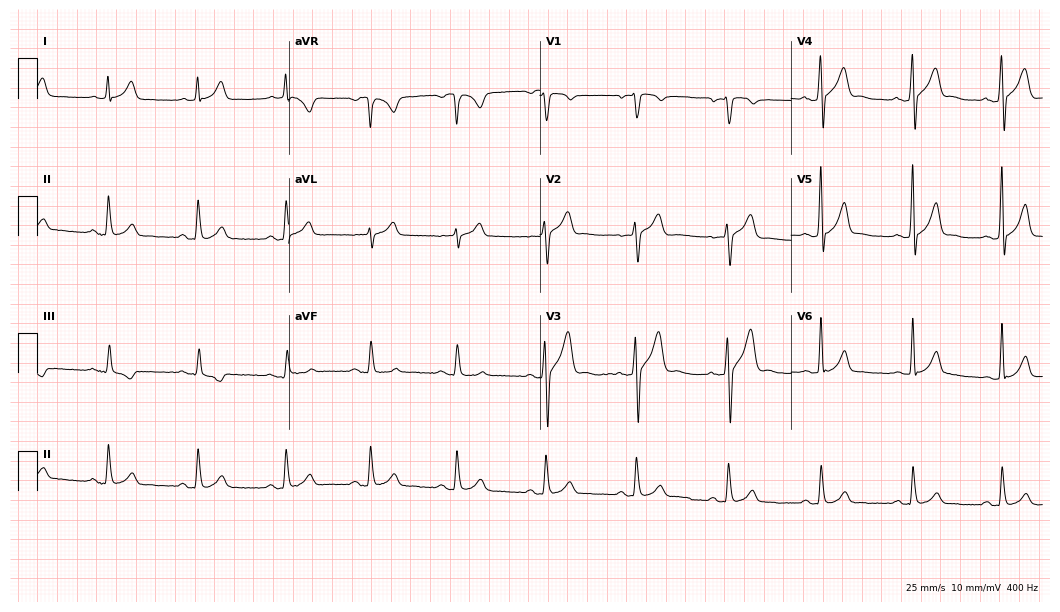
12-lead ECG from a 36-year-old male patient. No first-degree AV block, right bundle branch block, left bundle branch block, sinus bradycardia, atrial fibrillation or sinus tachycardia recorded for this tracing.